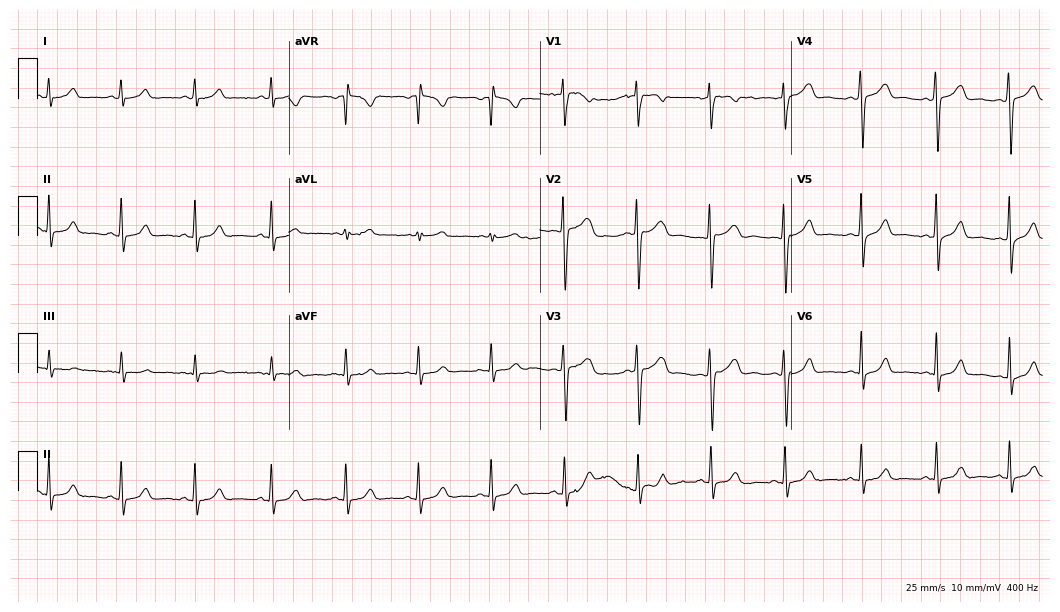
Electrocardiogram, a female, 18 years old. Overall reading on record: normal ECG.